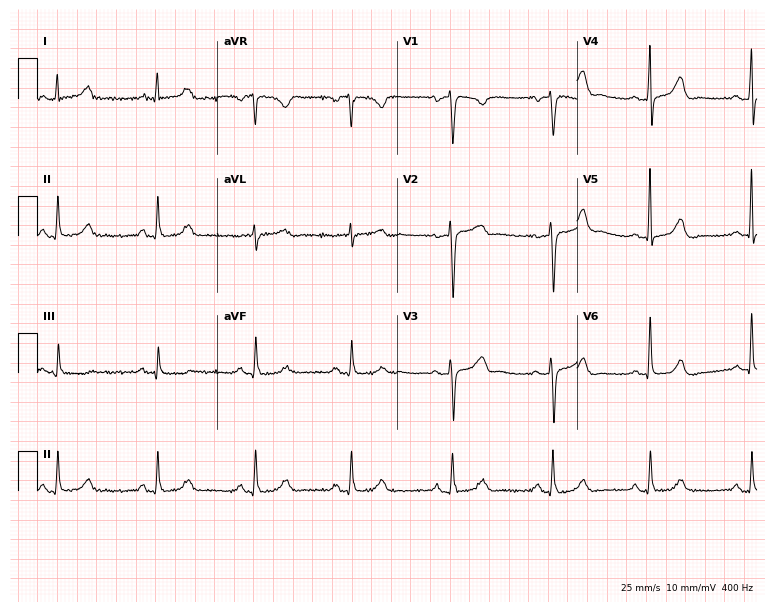
Resting 12-lead electrocardiogram (7.3-second recording at 400 Hz). Patient: a female, 51 years old. None of these six findings is recorded: first-degree AV block, right bundle branch block, left bundle branch block, sinus bradycardia, atrial fibrillation, sinus tachycardia.